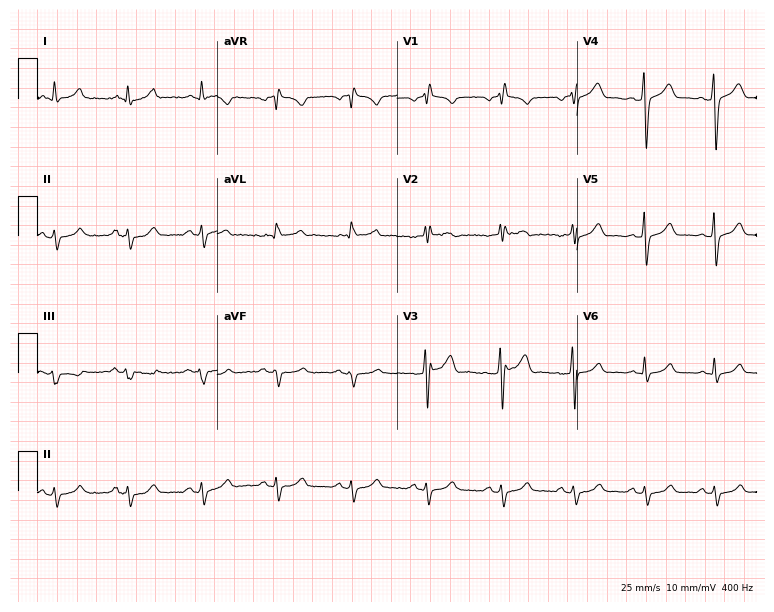
ECG — a 42-year-old male patient. Screened for six findings — first-degree AV block, right bundle branch block, left bundle branch block, sinus bradycardia, atrial fibrillation, sinus tachycardia — none is recorded.